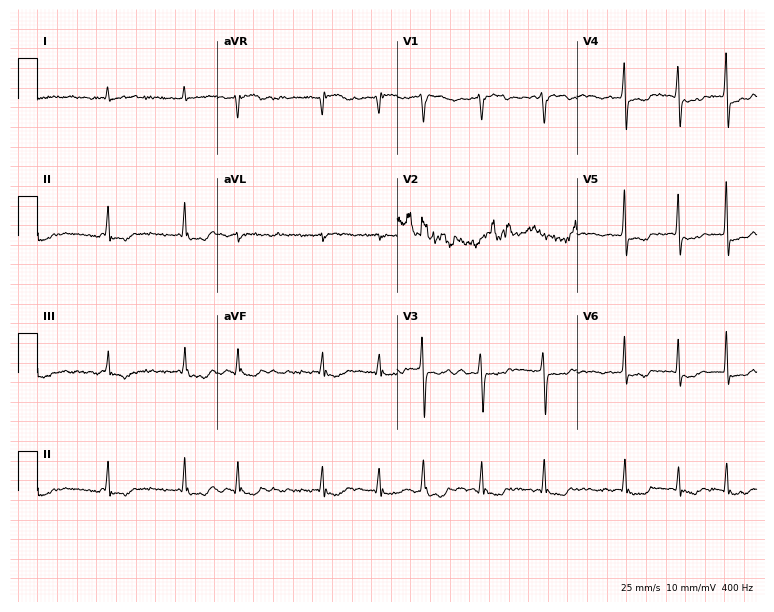
12-lead ECG from a 73-year-old man. Findings include atrial fibrillation.